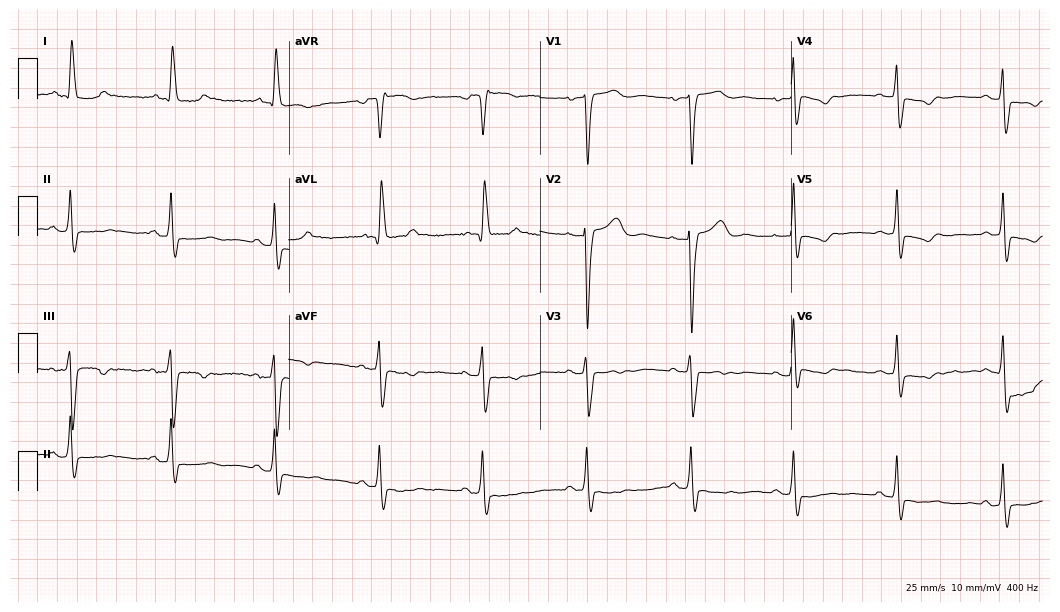
12-lead ECG from a 66-year-old female patient. No first-degree AV block, right bundle branch block (RBBB), left bundle branch block (LBBB), sinus bradycardia, atrial fibrillation (AF) or sinus tachycardia recorded for this tracing. Other findings, if any, are not listed.